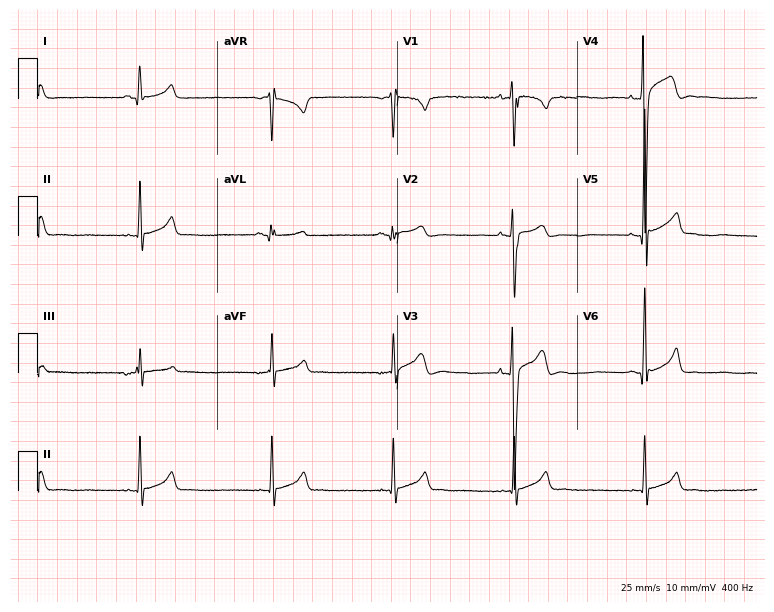
Standard 12-lead ECG recorded from a 17-year-old male patient. The tracing shows sinus bradycardia (a sinus rate of 50 beats per minute or less).